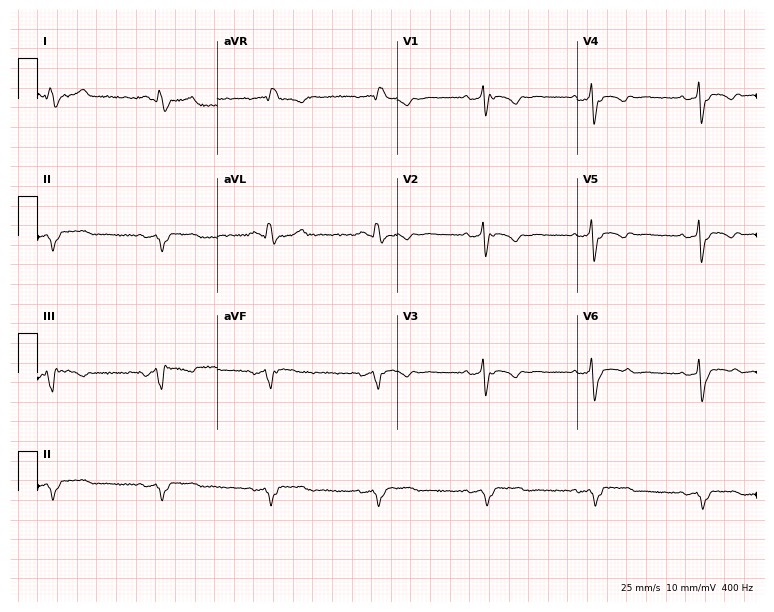
Electrocardiogram, a 66-year-old female. Of the six screened findings (first-degree AV block, right bundle branch block, left bundle branch block, sinus bradycardia, atrial fibrillation, sinus tachycardia), none is recorded.